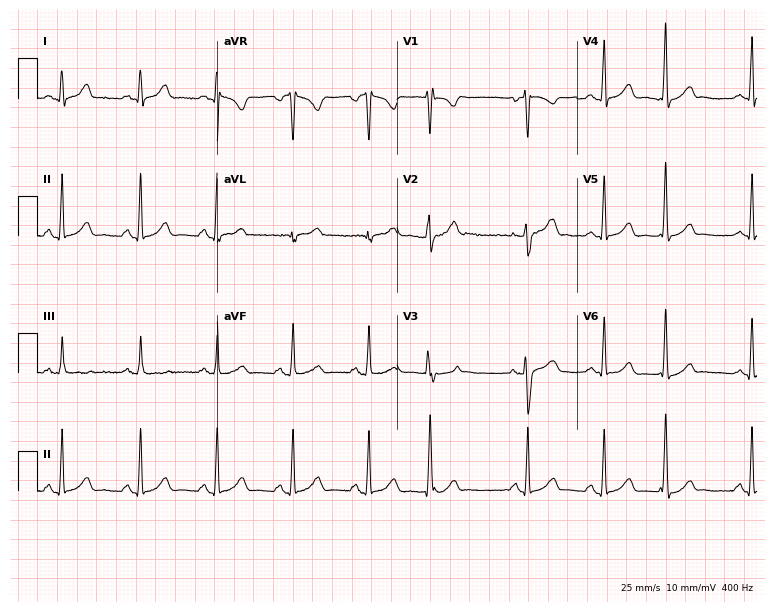
Resting 12-lead electrocardiogram. Patient: a woman, 36 years old. None of these six findings is recorded: first-degree AV block, right bundle branch block, left bundle branch block, sinus bradycardia, atrial fibrillation, sinus tachycardia. Only these six findings were labelled.